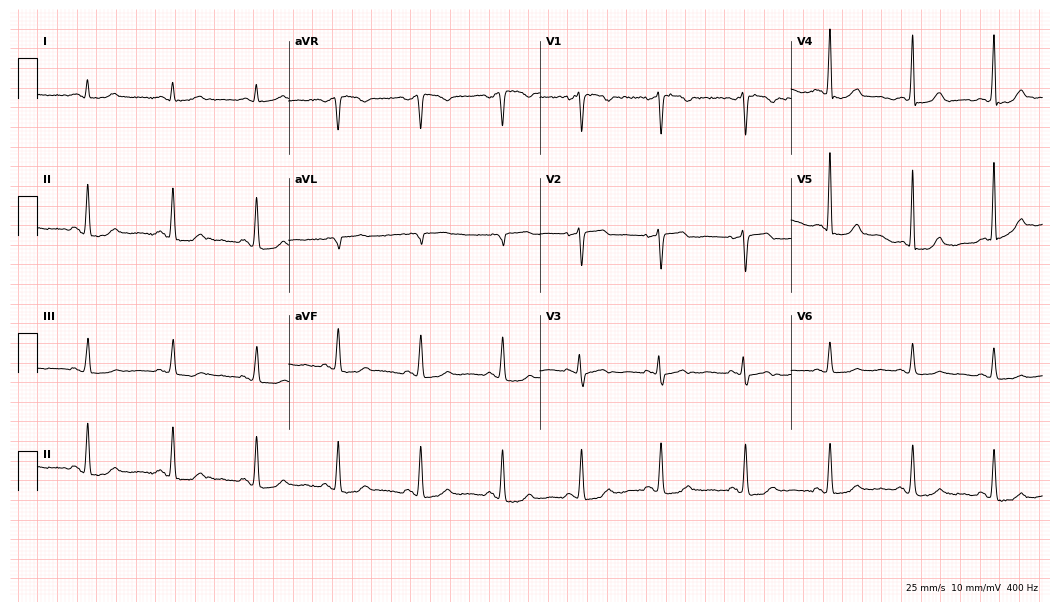
ECG — a 68-year-old female. Labelled as a normal ECG.